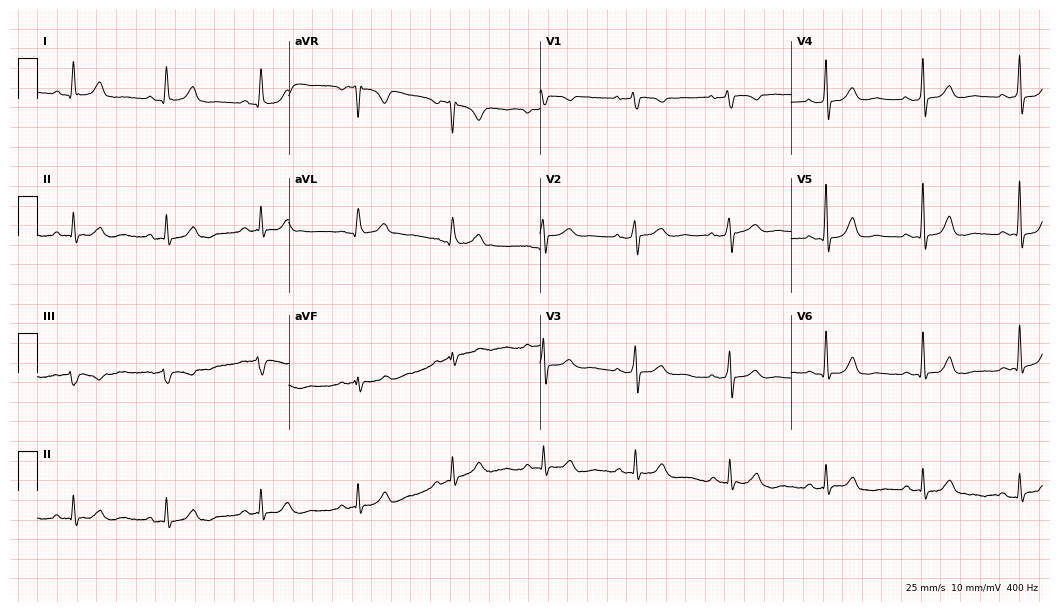
12-lead ECG from a female, 64 years old. No first-degree AV block, right bundle branch block (RBBB), left bundle branch block (LBBB), sinus bradycardia, atrial fibrillation (AF) or sinus tachycardia recorded for this tracing.